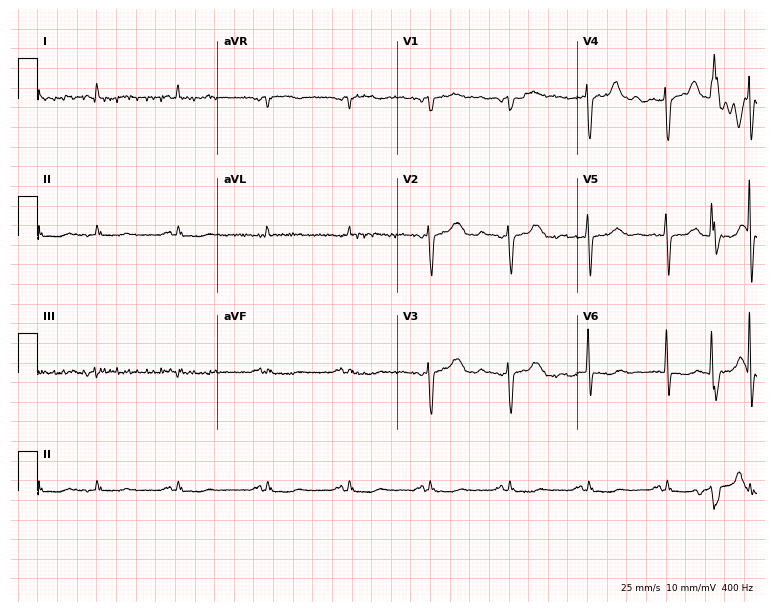
Electrocardiogram (7.3-second recording at 400 Hz), a male, 75 years old. Of the six screened findings (first-degree AV block, right bundle branch block, left bundle branch block, sinus bradycardia, atrial fibrillation, sinus tachycardia), none is recorded. Only these six findings were labelled.